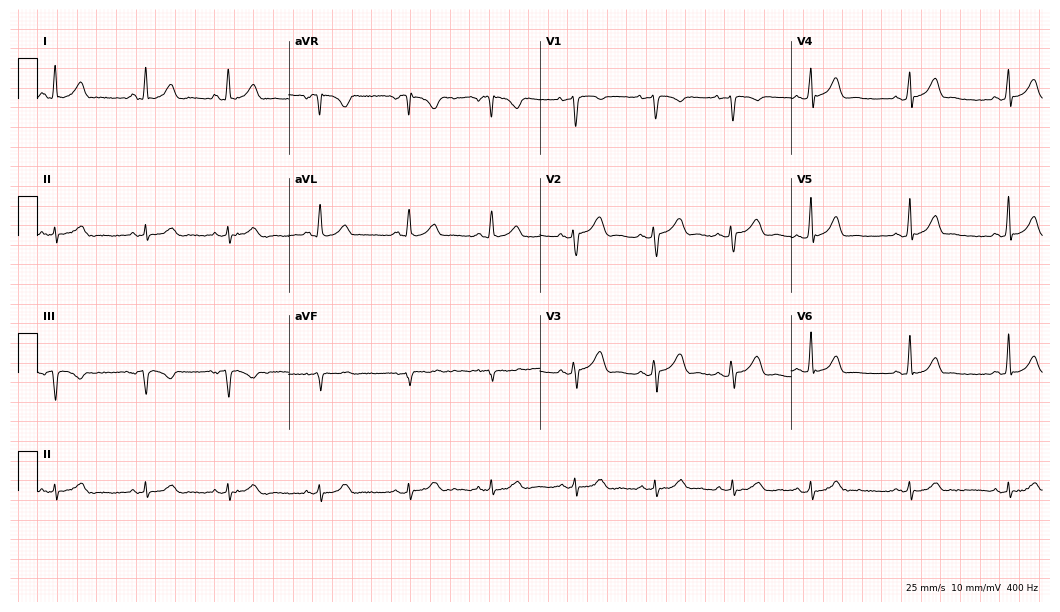
12-lead ECG (10.2-second recording at 400 Hz) from a woman, 35 years old. Labelled as a normal ECG.